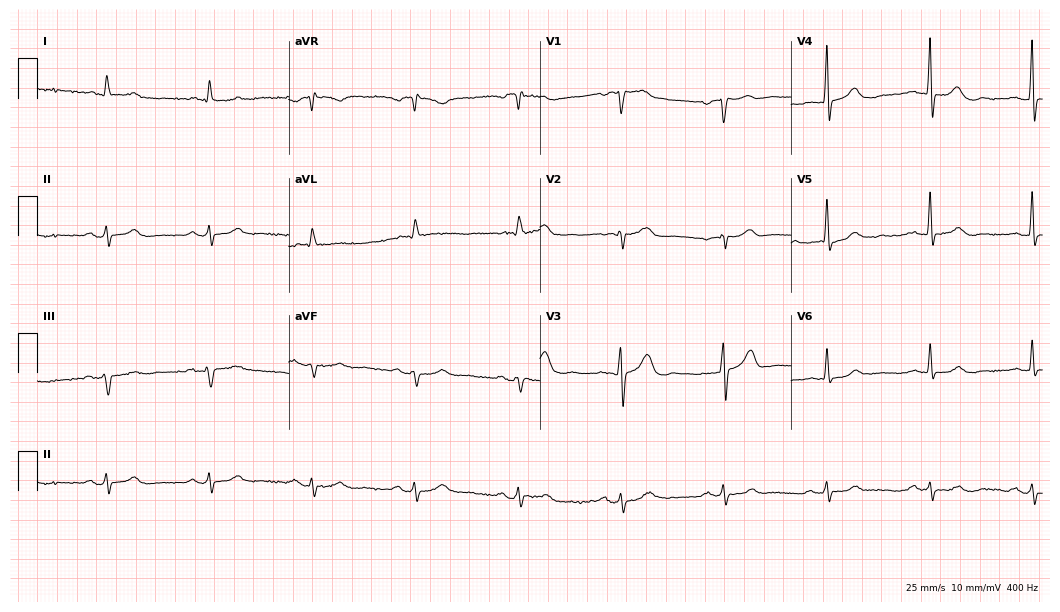
12-lead ECG from a male, 85 years old. Screened for six findings — first-degree AV block, right bundle branch block, left bundle branch block, sinus bradycardia, atrial fibrillation, sinus tachycardia — none is recorded.